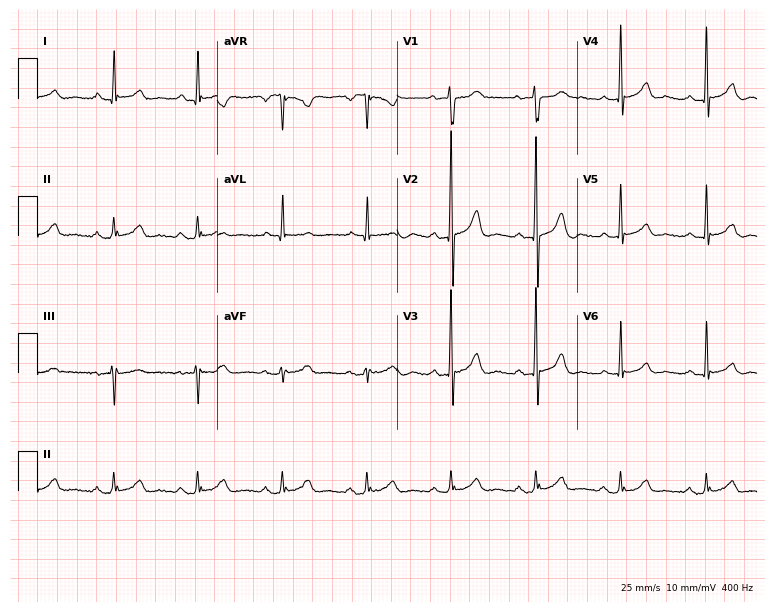
12-lead ECG from a male patient, 84 years old (7.3-second recording at 400 Hz). Recorded interpretation: within normal limits.